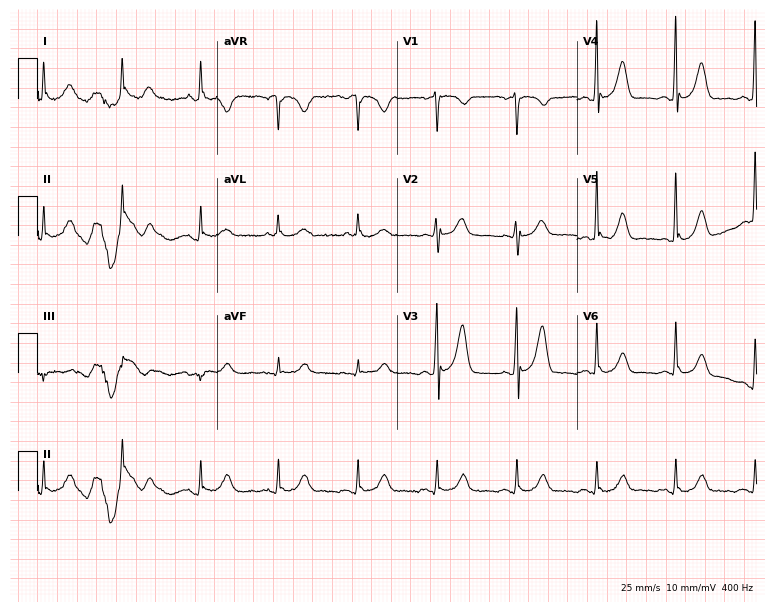
Electrocardiogram (7.3-second recording at 400 Hz), a male patient, 68 years old. Overall reading on record: normal ECG.